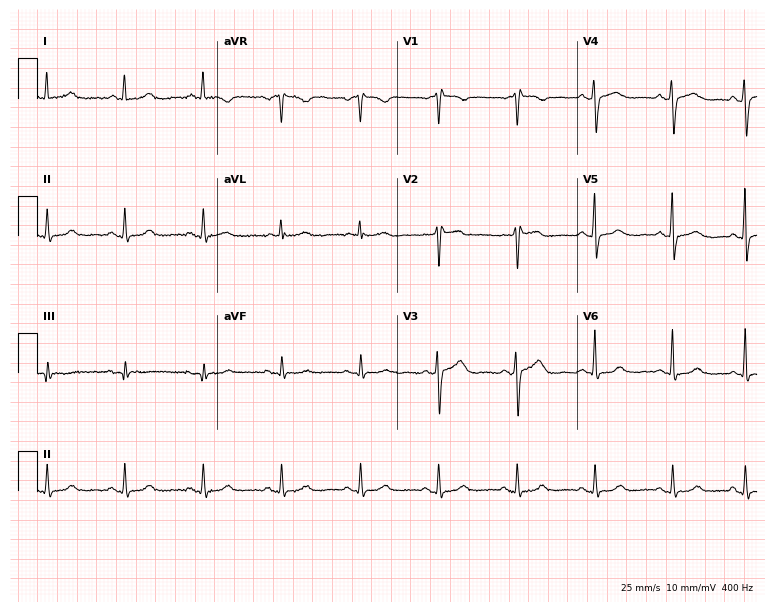
Electrocardiogram (7.3-second recording at 400 Hz), a 54-year-old man. Overall reading on record: normal ECG.